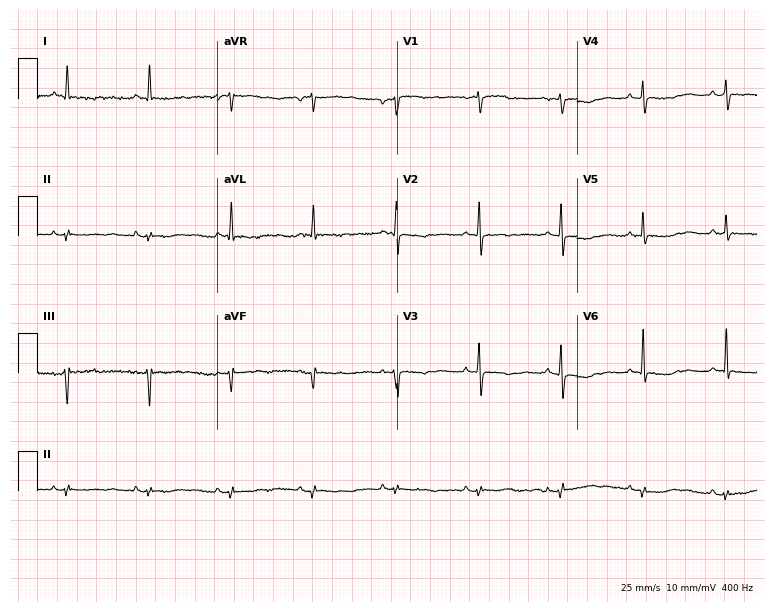
ECG (7.3-second recording at 400 Hz) — a woman, 75 years old. Screened for six findings — first-degree AV block, right bundle branch block (RBBB), left bundle branch block (LBBB), sinus bradycardia, atrial fibrillation (AF), sinus tachycardia — none is recorded. Only these six findings were labelled.